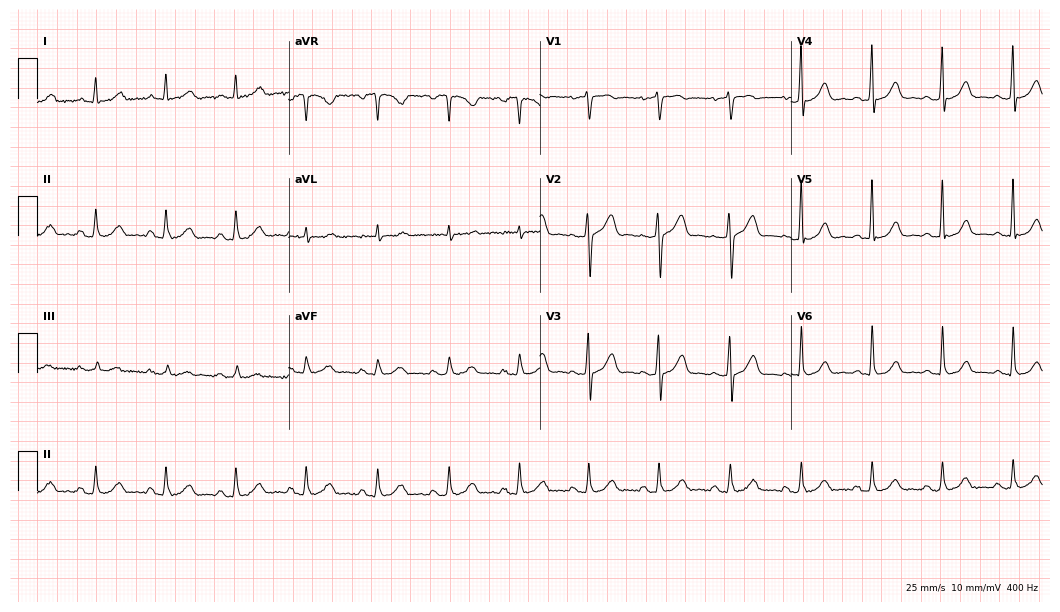
Standard 12-lead ECG recorded from a male, 45 years old. Read as a normal ECG.